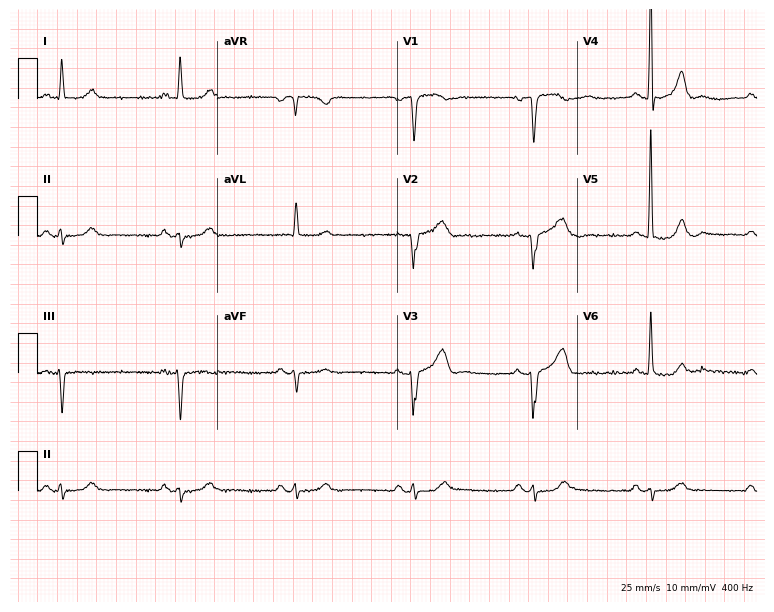
ECG — a male patient, 85 years old. Findings include sinus bradycardia (a sinus rate of 50 beats per minute or less).